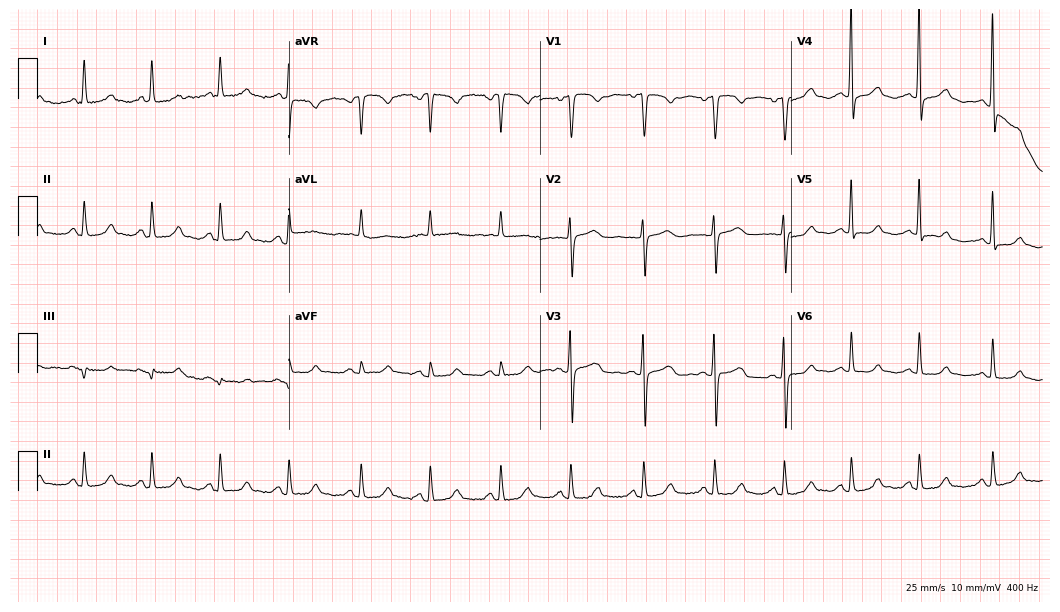
12-lead ECG from a 64-year-old female patient. Labelled as a normal ECG.